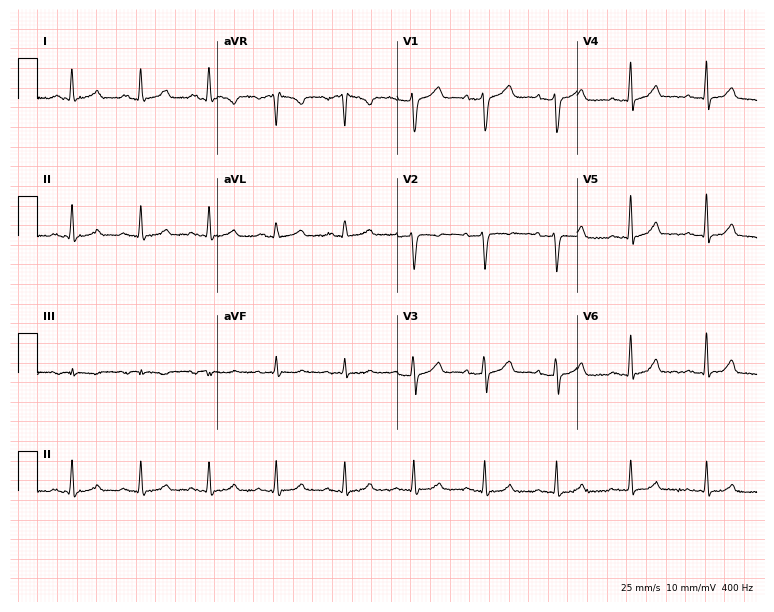
ECG — a female, 46 years old. Screened for six findings — first-degree AV block, right bundle branch block, left bundle branch block, sinus bradycardia, atrial fibrillation, sinus tachycardia — none is recorded. Findings outside these six are not listed.